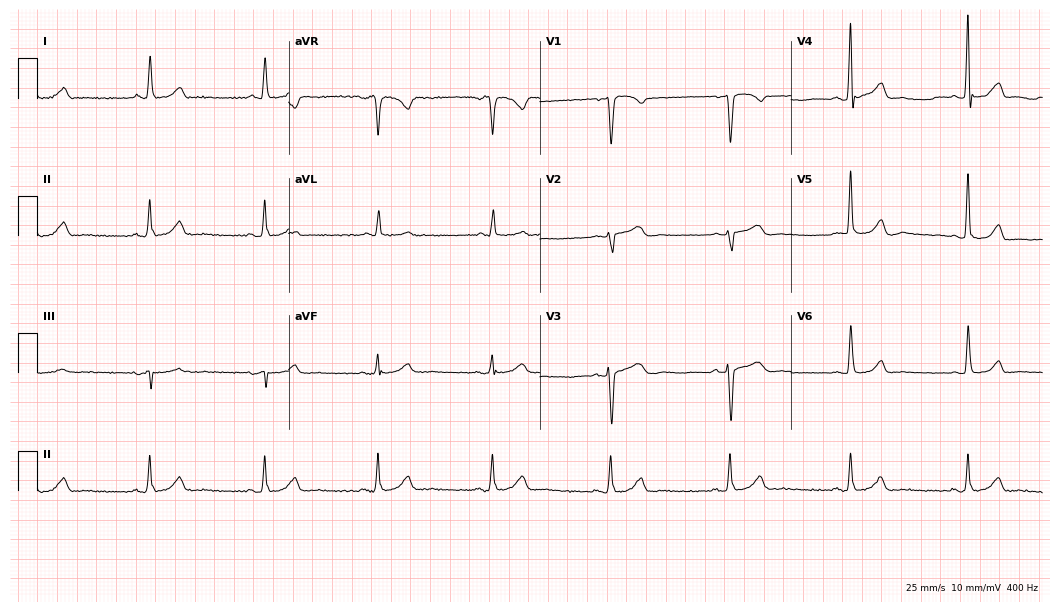
Electrocardiogram, a female patient, 54 years old. Overall reading on record: normal ECG.